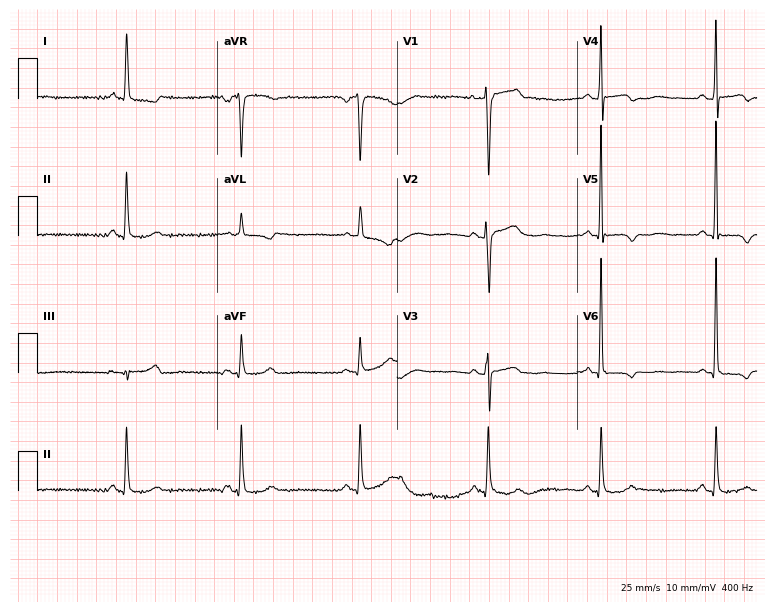
ECG (7.3-second recording at 400 Hz) — a female, 57 years old. Screened for six findings — first-degree AV block, right bundle branch block, left bundle branch block, sinus bradycardia, atrial fibrillation, sinus tachycardia — none is recorded.